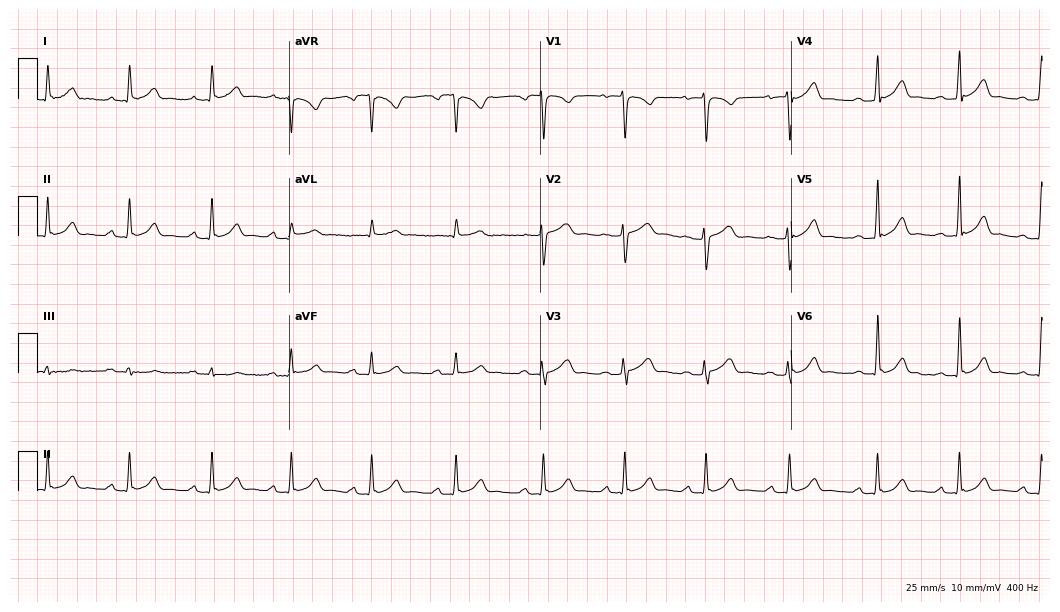
12-lead ECG (10.2-second recording at 400 Hz) from a woman, 25 years old. Labelled as a normal ECG.